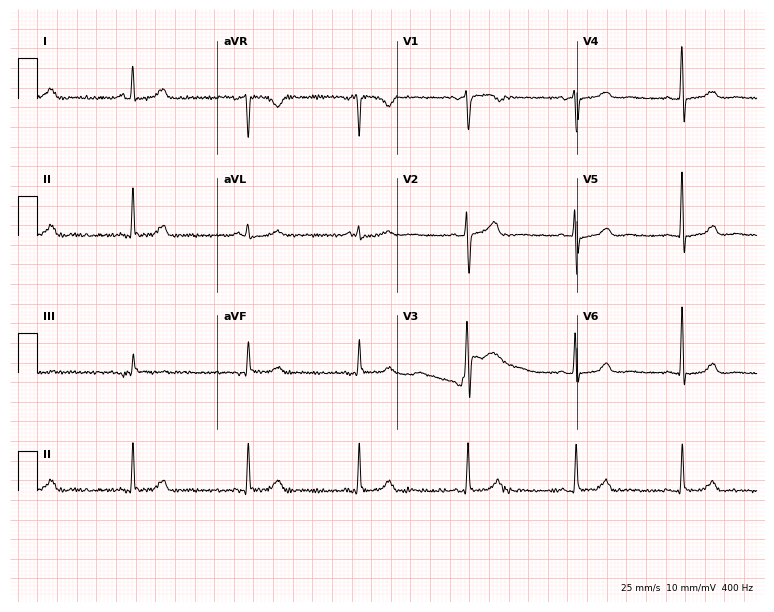
Standard 12-lead ECG recorded from a female, 66 years old. Read as a normal ECG.